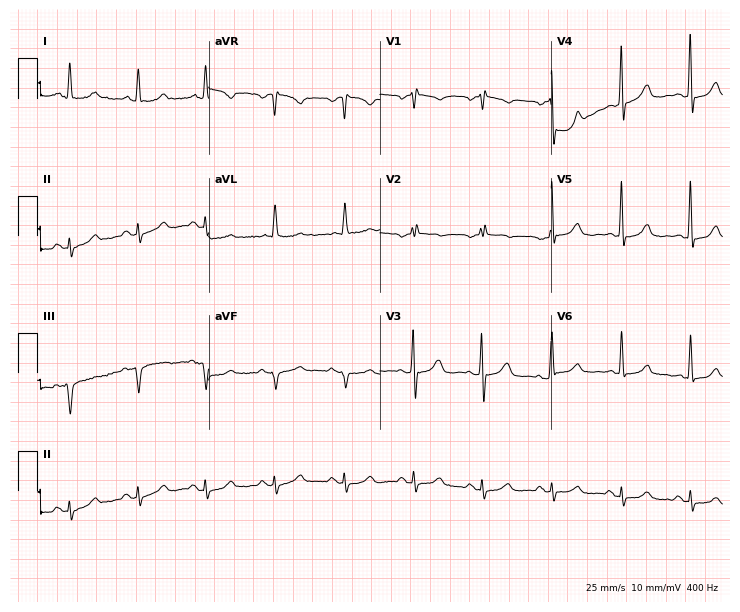
Electrocardiogram, a female patient, 79 years old. Overall reading on record: normal ECG.